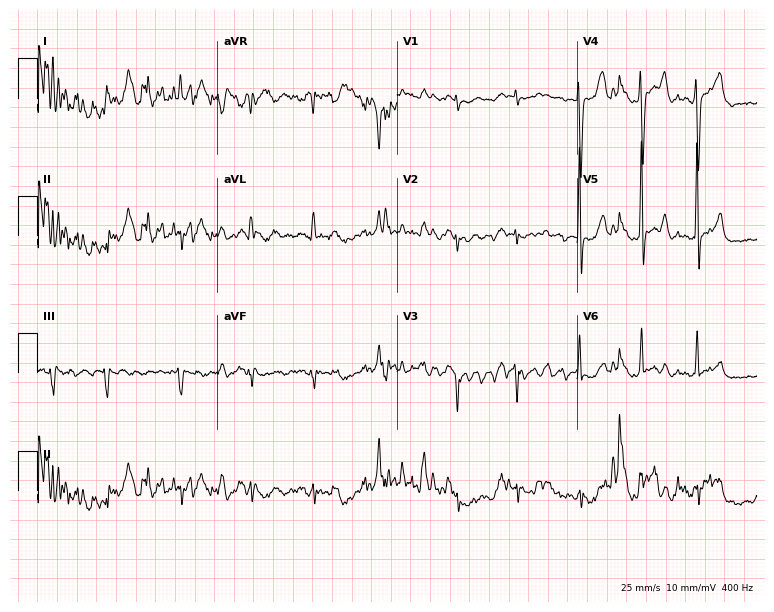
Standard 12-lead ECG recorded from a 70-year-old male patient. None of these six findings is recorded: first-degree AV block, right bundle branch block (RBBB), left bundle branch block (LBBB), sinus bradycardia, atrial fibrillation (AF), sinus tachycardia. Findings outside these six are not listed.